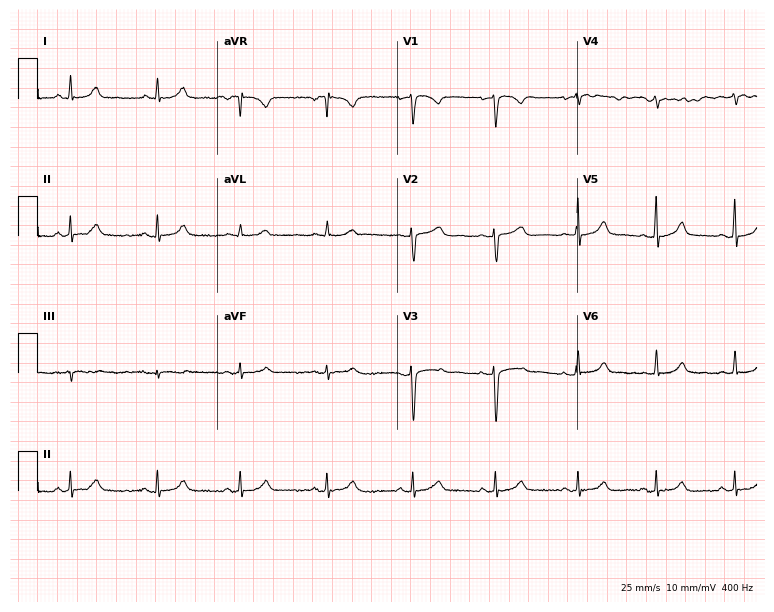
Resting 12-lead electrocardiogram (7.3-second recording at 400 Hz). Patient: a female, 50 years old. Read as a normal ECG.